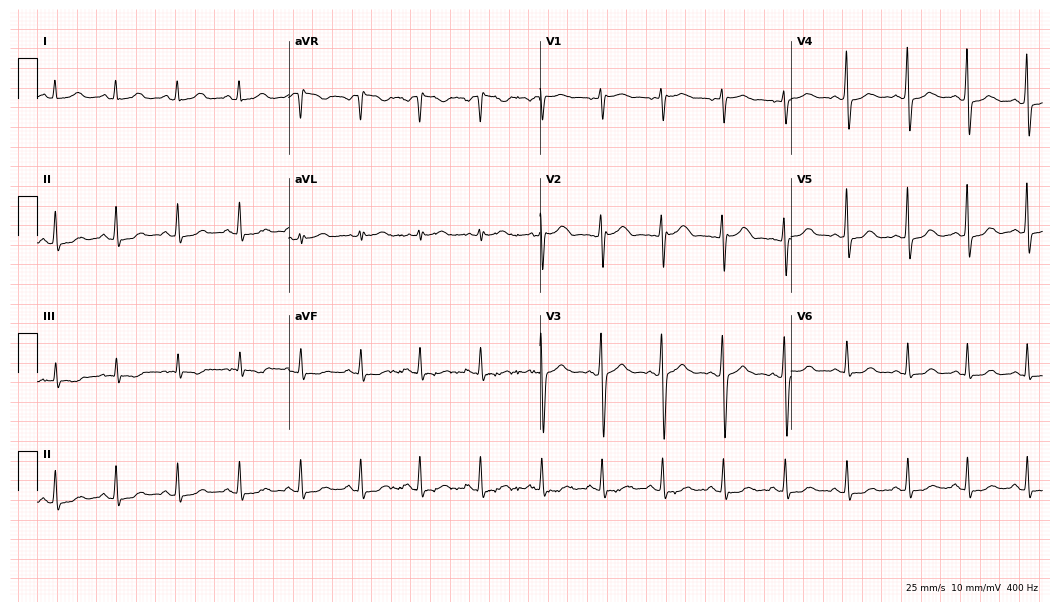
Standard 12-lead ECG recorded from a female patient, 21 years old. Read as a normal ECG.